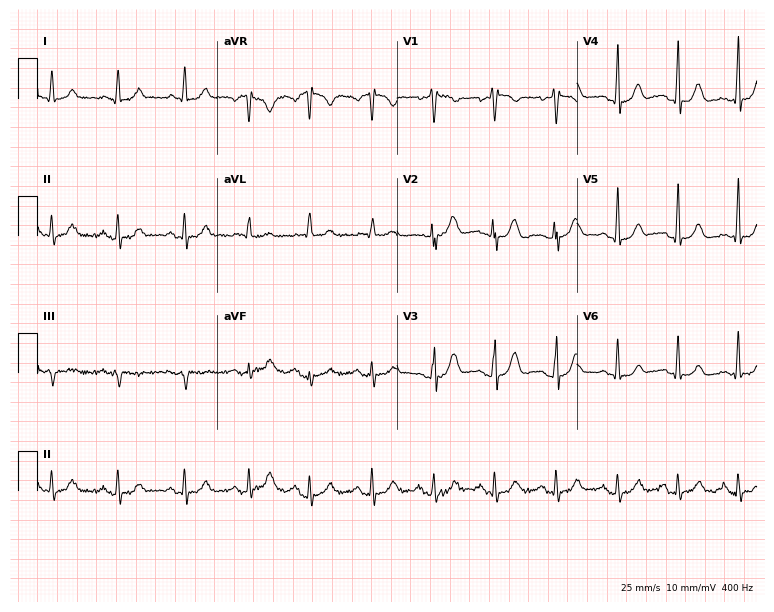
Electrocardiogram, a woman, 39 years old. Overall reading on record: normal ECG.